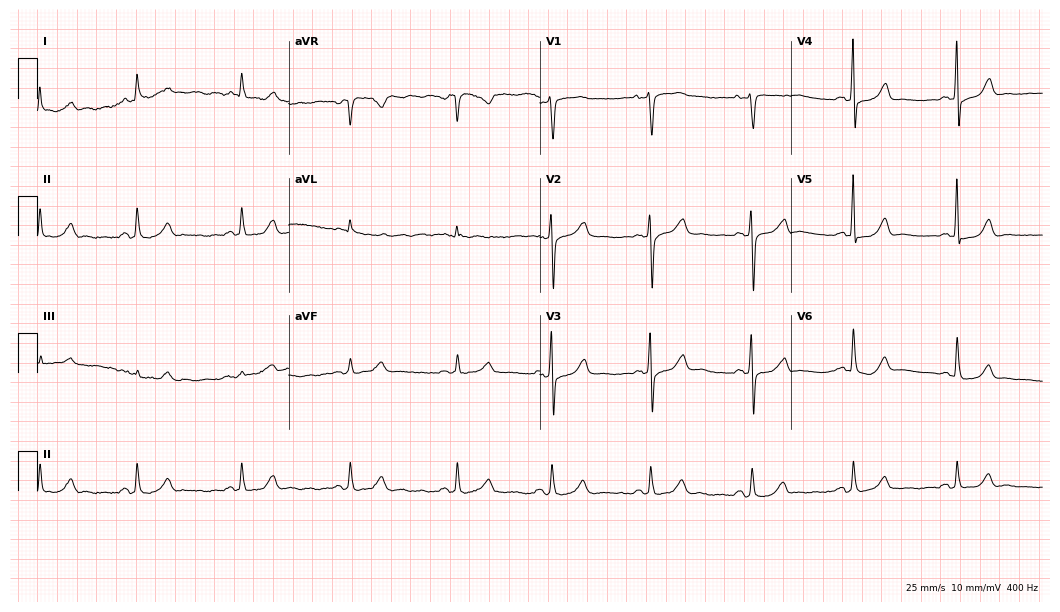
12-lead ECG from a 66-year-old male patient (10.2-second recording at 400 Hz). No first-degree AV block, right bundle branch block, left bundle branch block, sinus bradycardia, atrial fibrillation or sinus tachycardia recorded for this tracing.